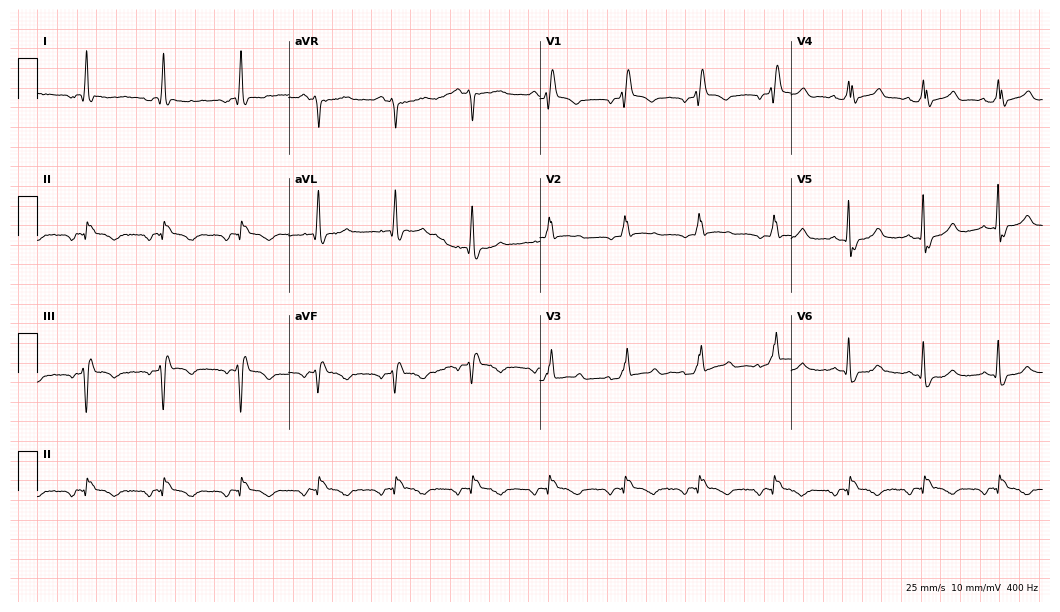
12-lead ECG (10.2-second recording at 400 Hz) from a man, 66 years old. Findings include right bundle branch block.